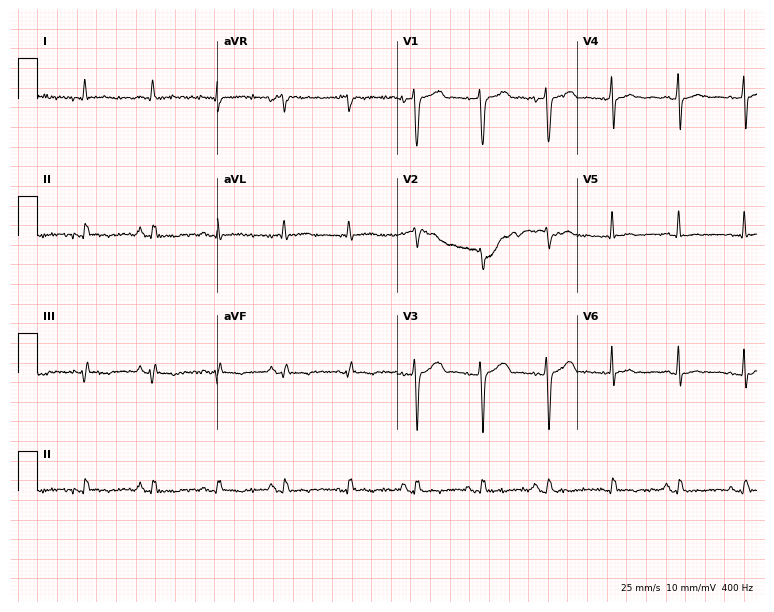
12-lead ECG (7.3-second recording at 400 Hz) from an 81-year-old male patient. Screened for six findings — first-degree AV block, right bundle branch block (RBBB), left bundle branch block (LBBB), sinus bradycardia, atrial fibrillation (AF), sinus tachycardia — none is recorded.